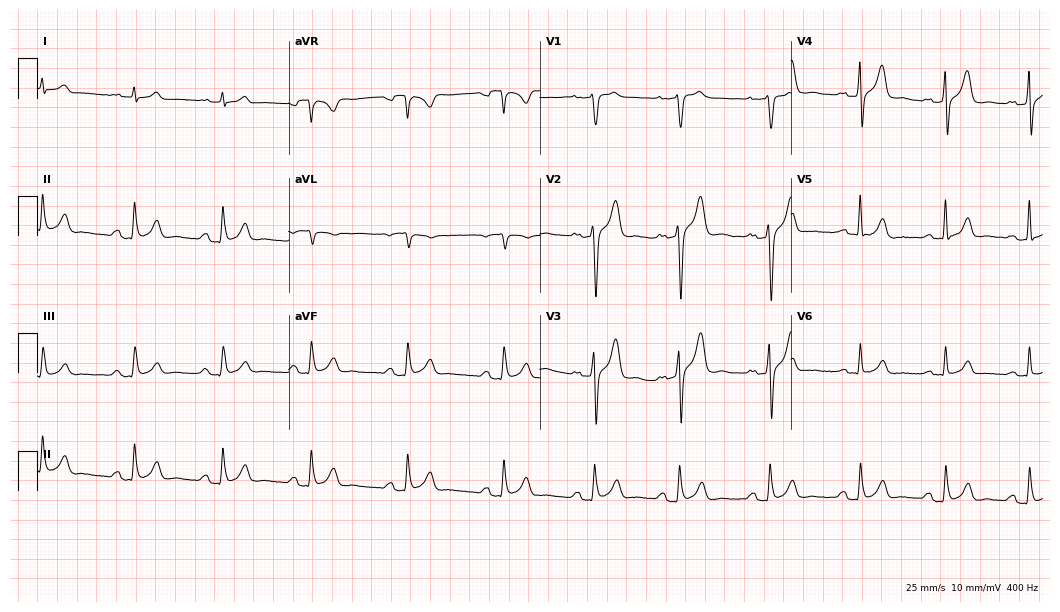
Standard 12-lead ECG recorded from a male, 27 years old. Read as a normal ECG.